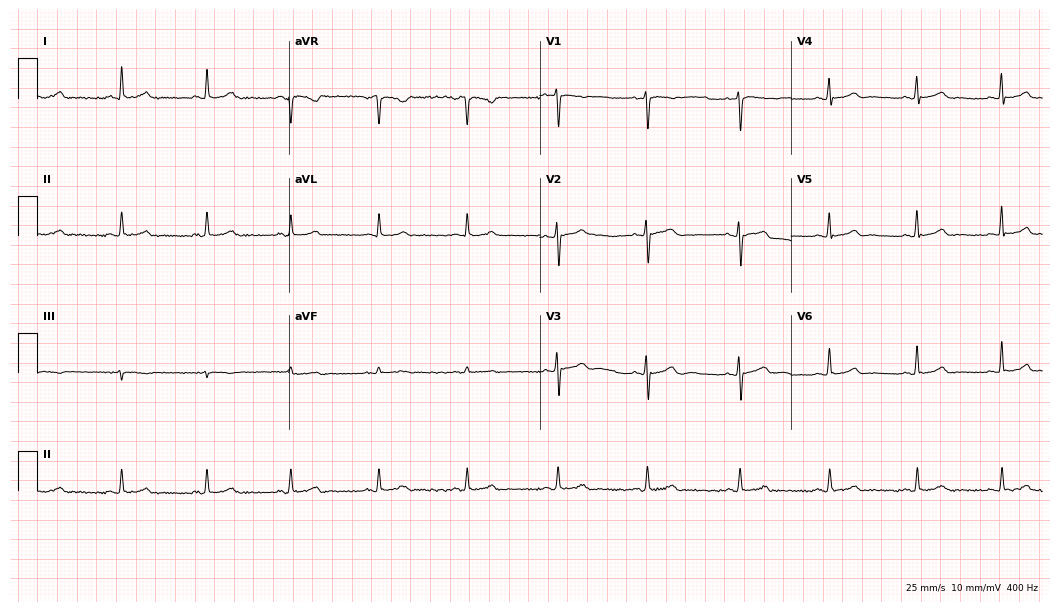
ECG — a 49-year-old woman. Screened for six findings — first-degree AV block, right bundle branch block, left bundle branch block, sinus bradycardia, atrial fibrillation, sinus tachycardia — none is recorded.